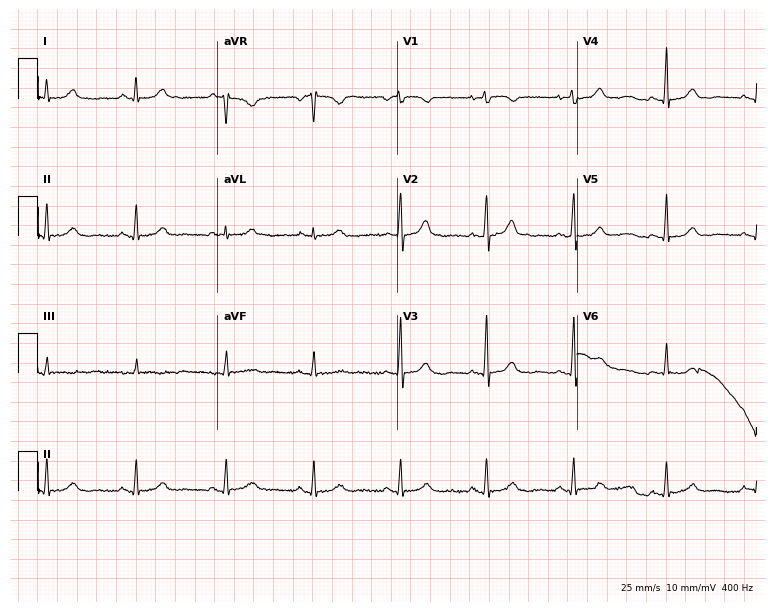
Resting 12-lead electrocardiogram. Patient: a woman, 58 years old. Read as a normal ECG.